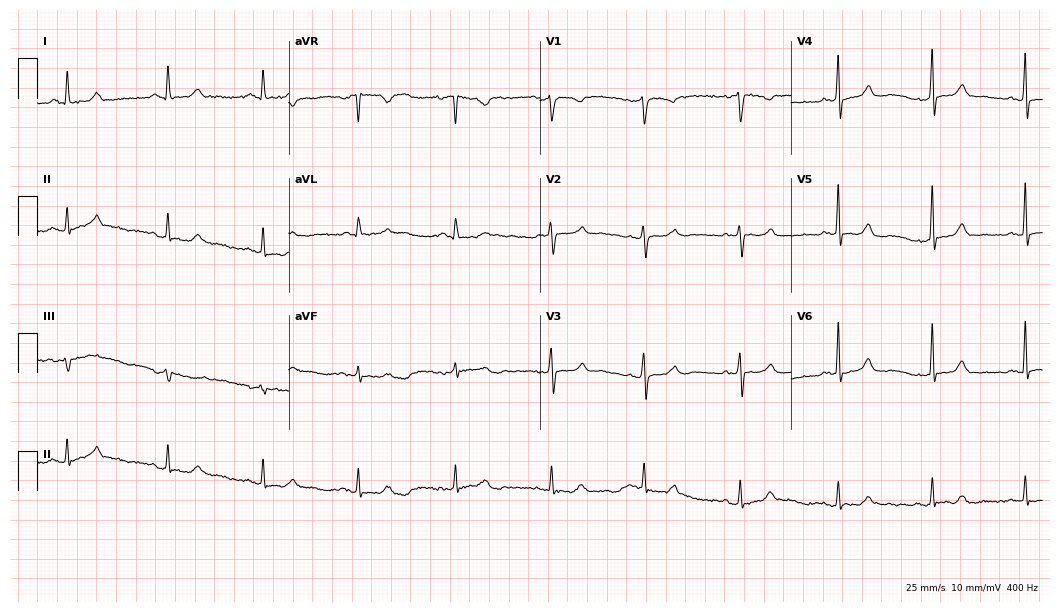
Electrocardiogram (10.2-second recording at 400 Hz), a woman, 58 years old. Of the six screened findings (first-degree AV block, right bundle branch block, left bundle branch block, sinus bradycardia, atrial fibrillation, sinus tachycardia), none is recorded.